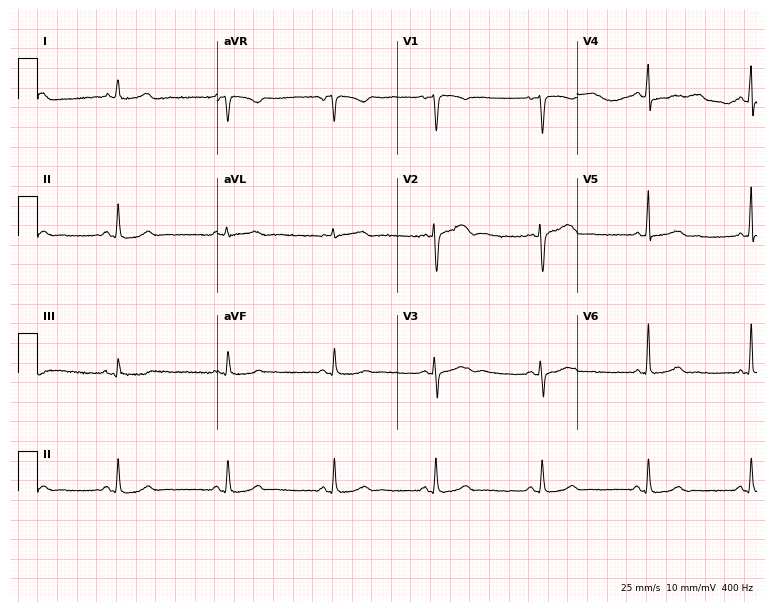
Resting 12-lead electrocardiogram. Patient: a 28-year-old female. None of these six findings is recorded: first-degree AV block, right bundle branch block, left bundle branch block, sinus bradycardia, atrial fibrillation, sinus tachycardia.